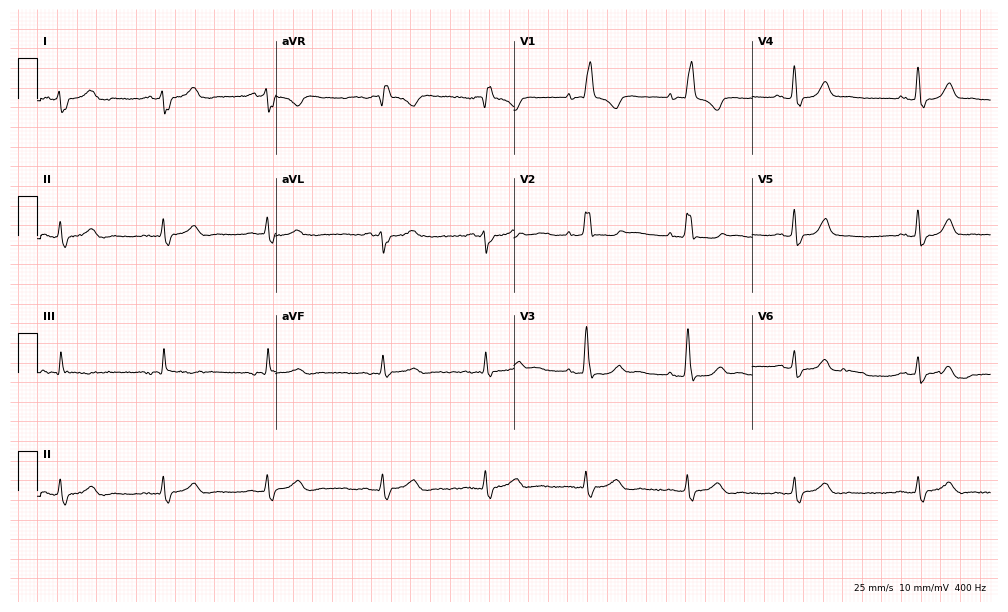
12-lead ECG from a 71-year-old female (9.7-second recording at 400 Hz). Shows right bundle branch block.